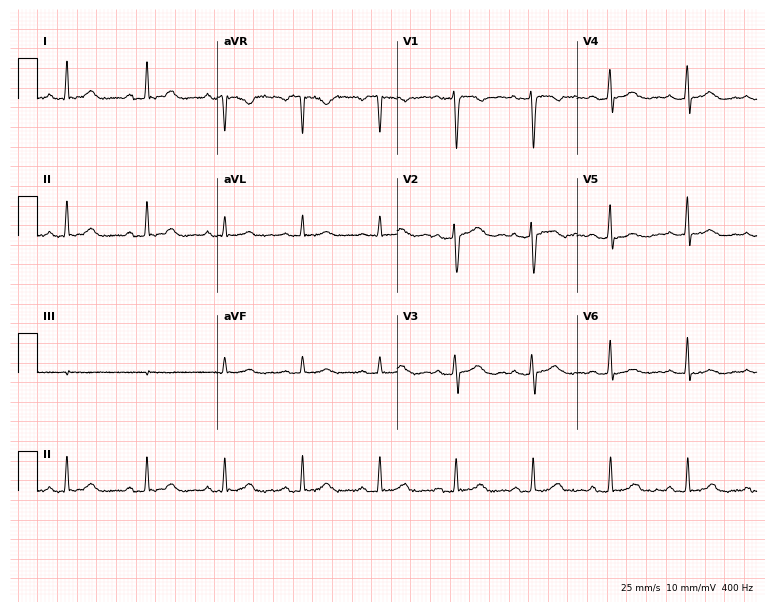
Resting 12-lead electrocardiogram. Patient: a 40-year-old woman. Read as a normal ECG.